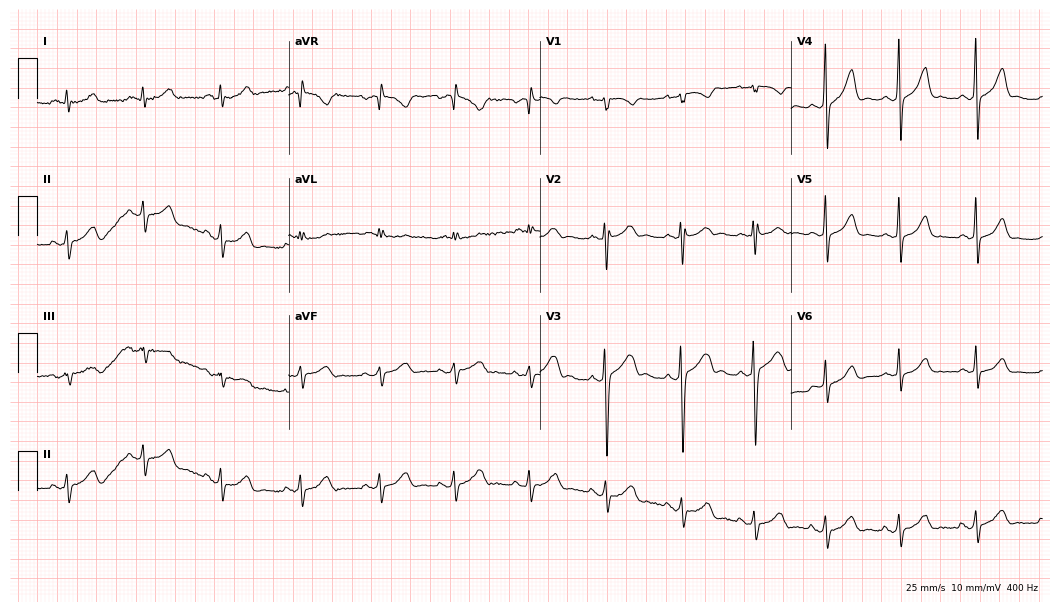
12-lead ECG from a 29-year-old male patient (10.2-second recording at 400 Hz). Recorded interpretation: within normal limits.